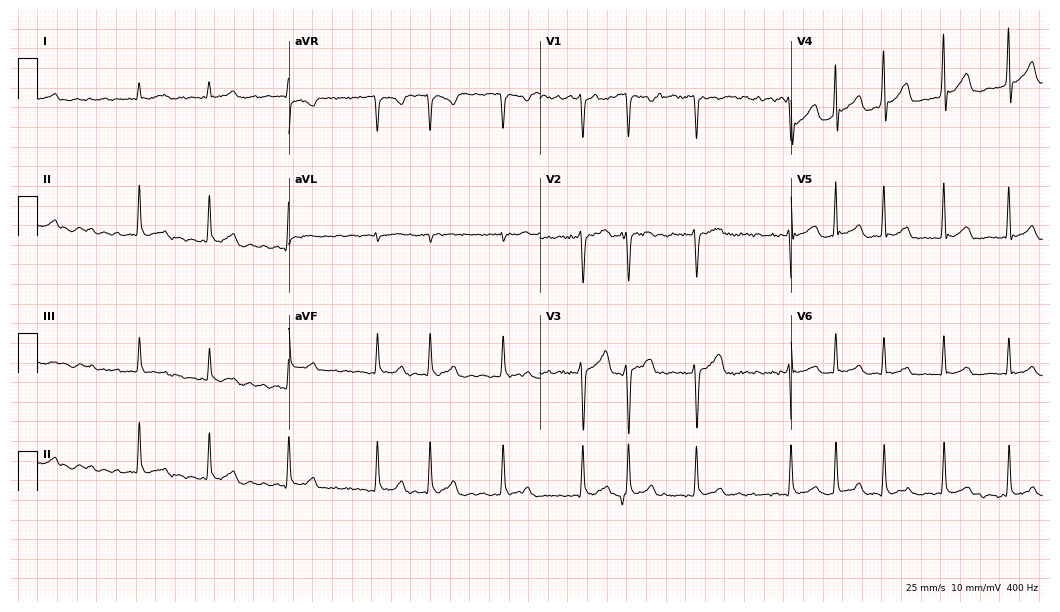
12-lead ECG (10.2-second recording at 400 Hz) from a man, 56 years old. Findings include atrial fibrillation (AF).